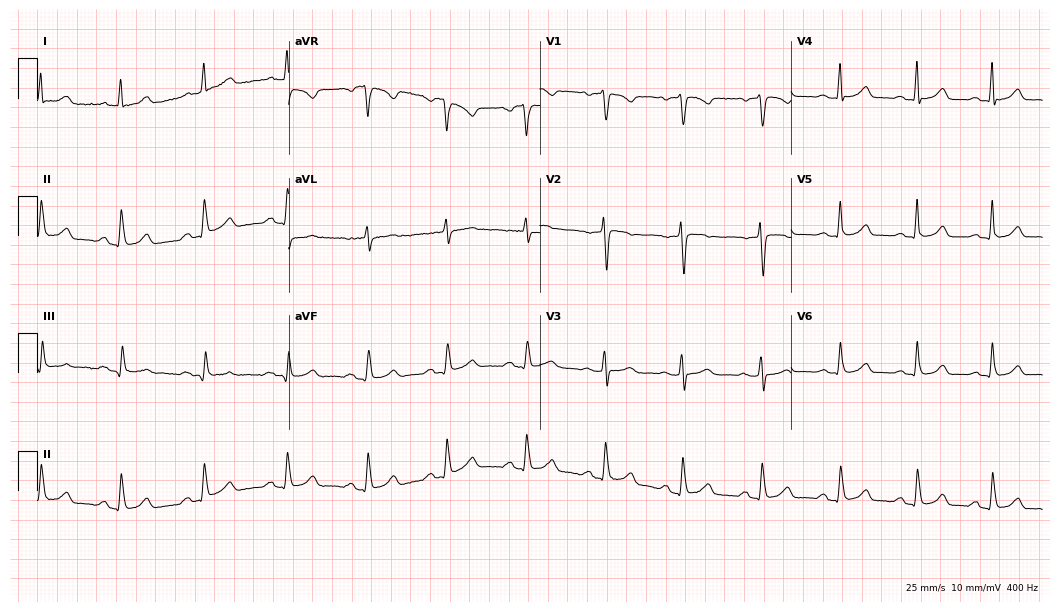
Electrocardiogram (10.2-second recording at 400 Hz), a woman, 55 years old. Overall reading on record: normal ECG.